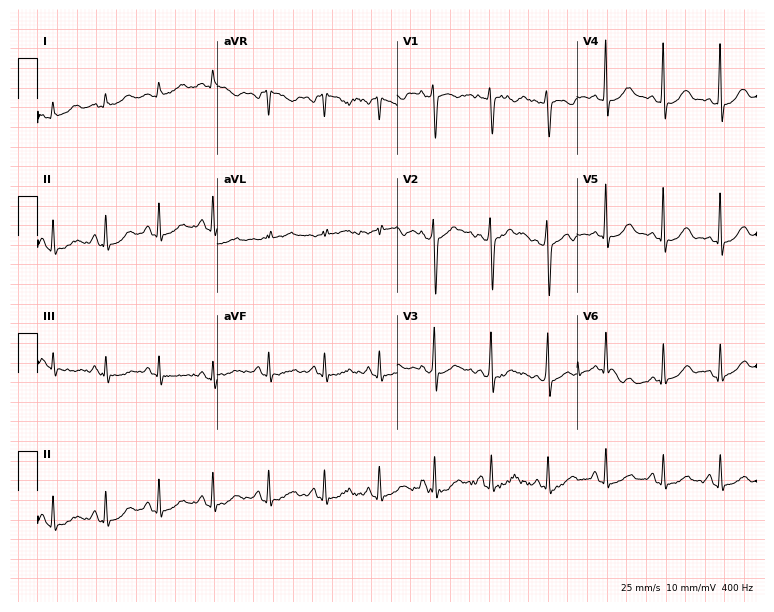
12-lead ECG from a 19-year-old male patient (7.3-second recording at 400 Hz). Shows sinus tachycardia (a sinus rate of 100 beats per minute or more).